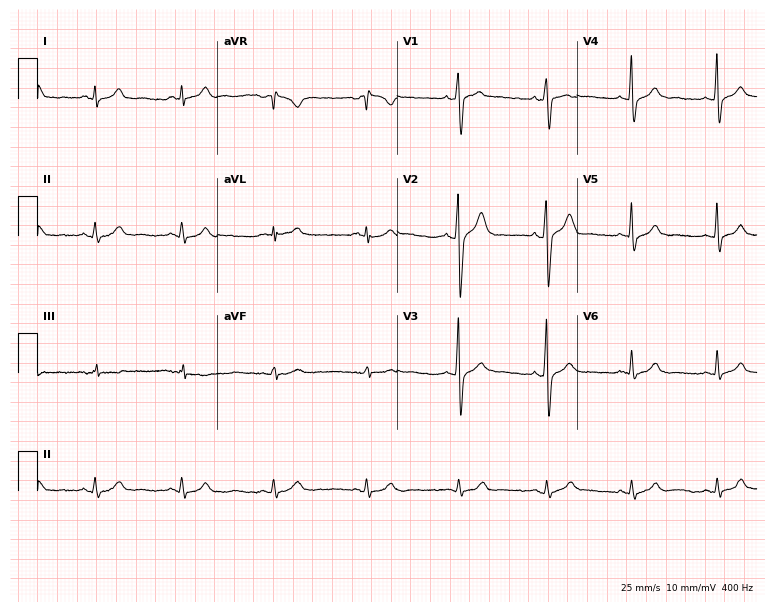
Electrocardiogram (7.3-second recording at 400 Hz), a 32-year-old male patient. Of the six screened findings (first-degree AV block, right bundle branch block, left bundle branch block, sinus bradycardia, atrial fibrillation, sinus tachycardia), none is recorded.